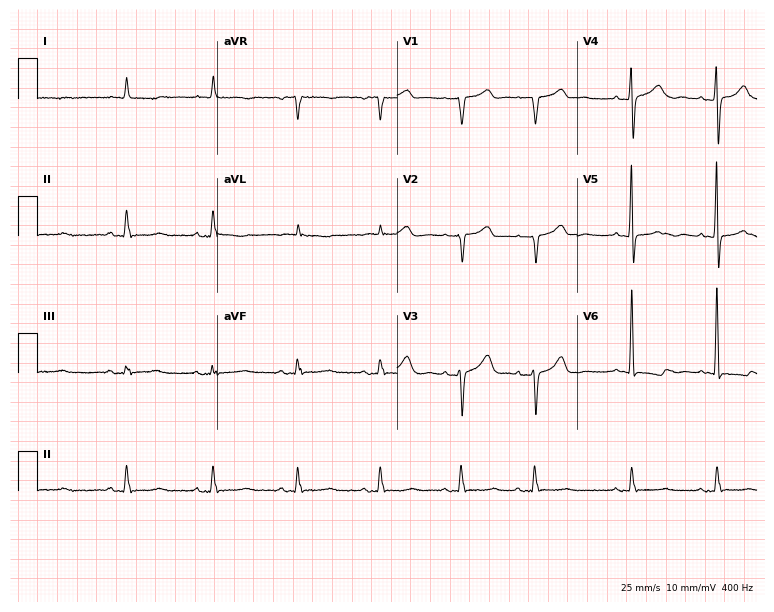
12-lead ECG (7.3-second recording at 400 Hz) from a female, 83 years old. Screened for six findings — first-degree AV block, right bundle branch block, left bundle branch block, sinus bradycardia, atrial fibrillation, sinus tachycardia — none is recorded. Other findings, if any, are not listed.